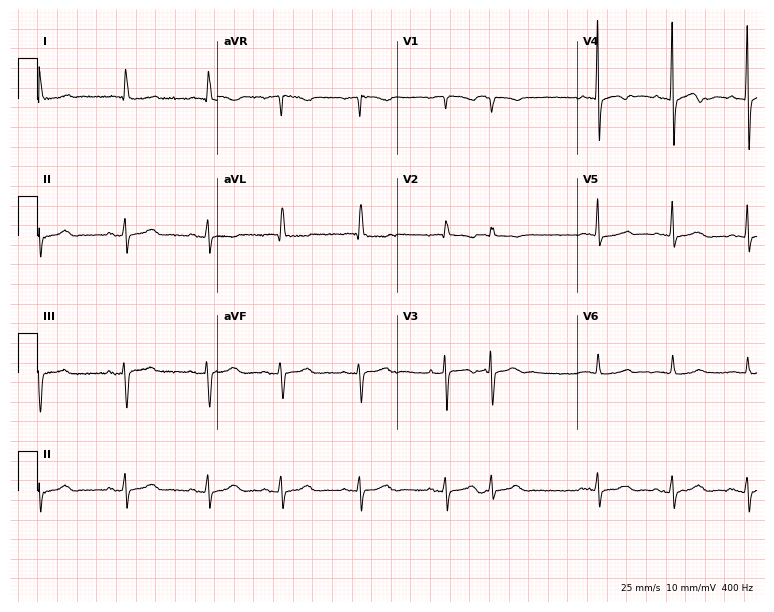
12-lead ECG from a female, 82 years old (7.3-second recording at 400 Hz). No first-degree AV block, right bundle branch block (RBBB), left bundle branch block (LBBB), sinus bradycardia, atrial fibrillation (AF) or sinus tachycardia recorded for this tracing. Findings outside these six are not listed.